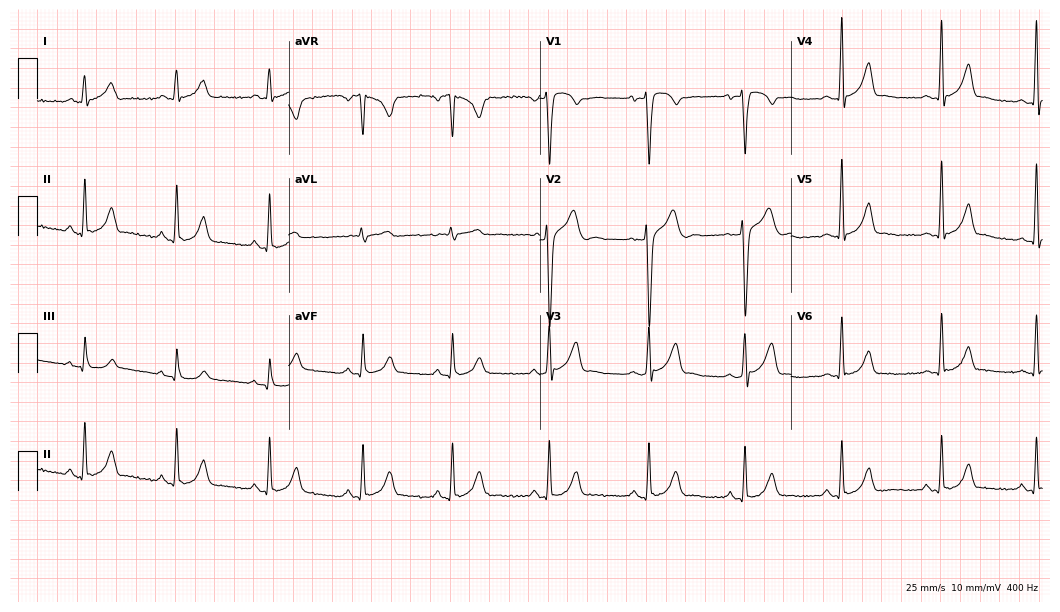
Standard 12-lead ECG recorded from a man, 30 years old (10.2-second recording at 400 Hz). Read as a normal ECG.